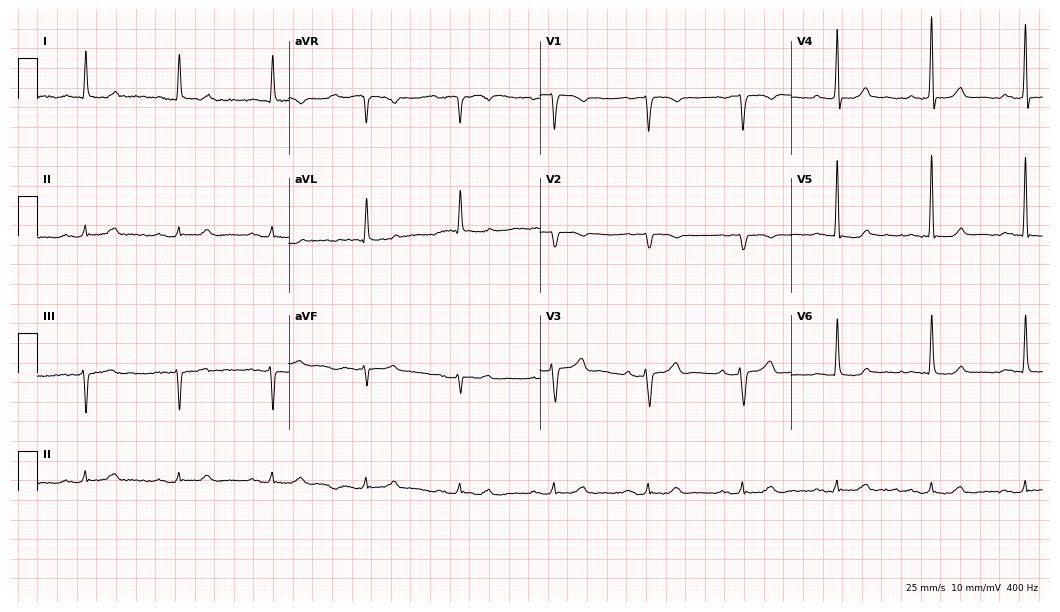
Standard 12-lead ECG recorded from an 83-year-old man (10.2-second recording at 400 Hz). Read as a normal ECG.